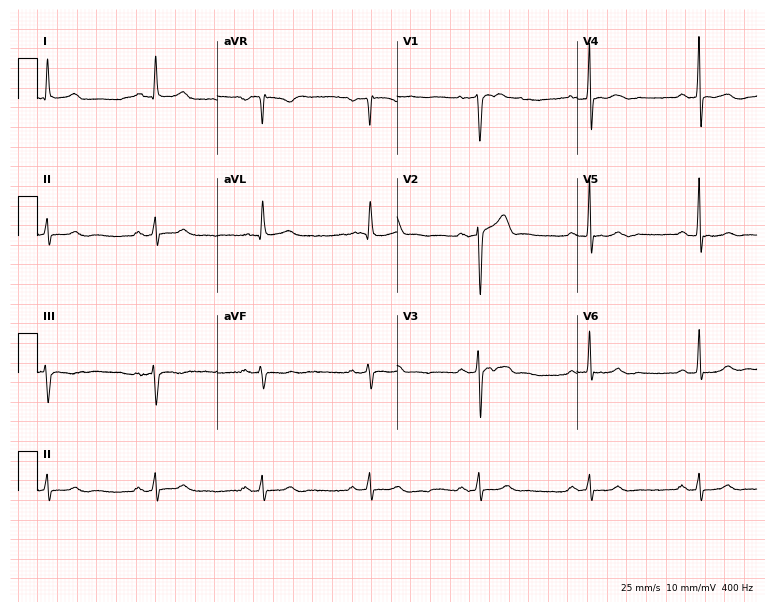
Resting 12-lead electrocardiogram. Patient: a 64-year-old male. Read as a normal ECG.